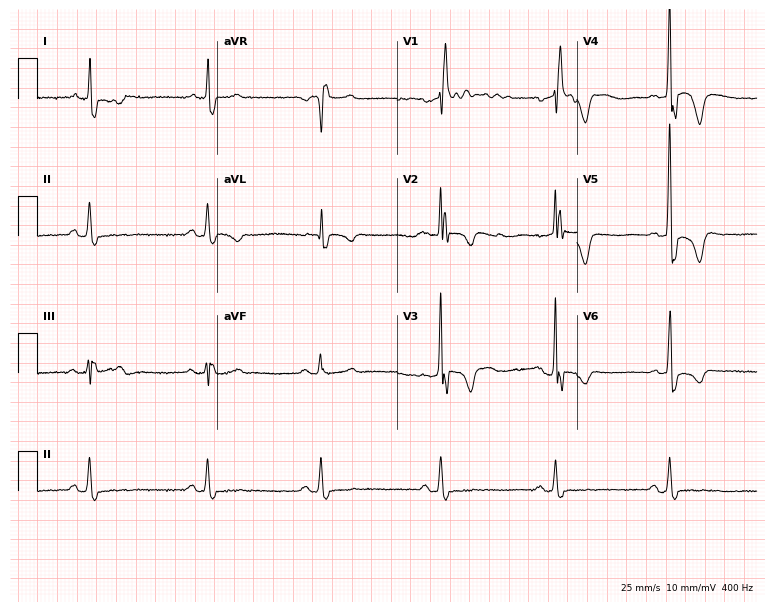
Resting 12-lead electrocardiogram. Patient: a man, 74 years old. The tracing shows right bundle branch block.